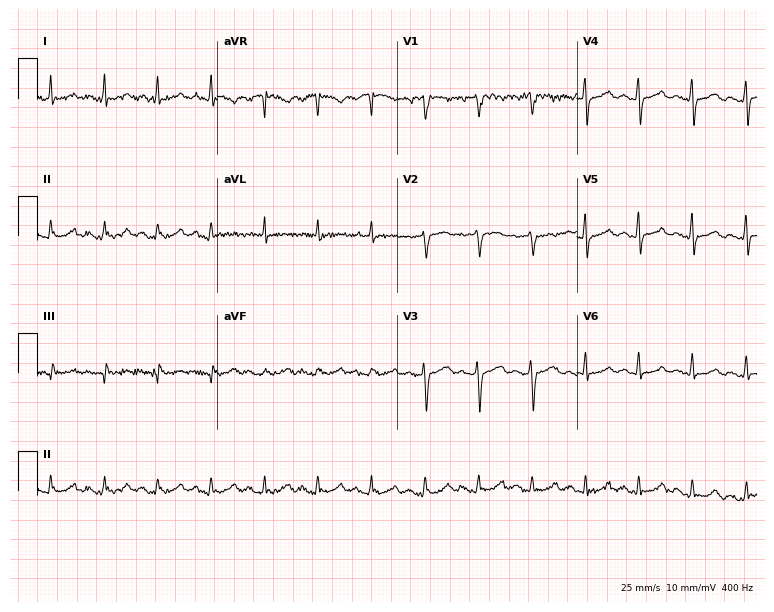
12-lead ECG from a male, 51 years old. Shows sinus tachycardia (a sinus rate of 100 beats per minute or more).